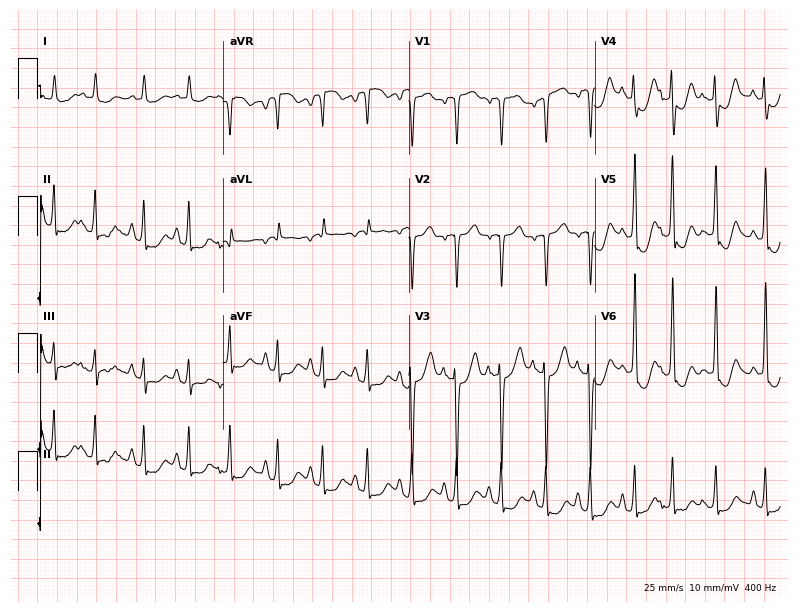
ECG (7.6-second recording at 400 Hz) — a 76-year-old female. Findings include sinus tachycardia (a sinus rate of 100 beats per minute or more).